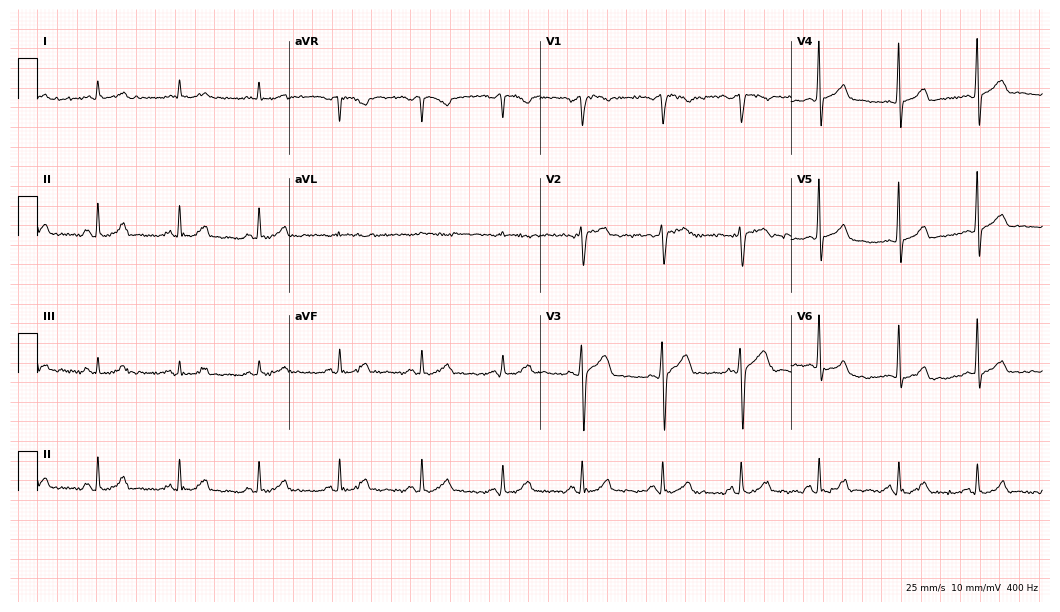
Standard 12-lead ECG recorded from a male, 63 years old (10.2-second recording at 400 Hz). Read as a normal ECG.